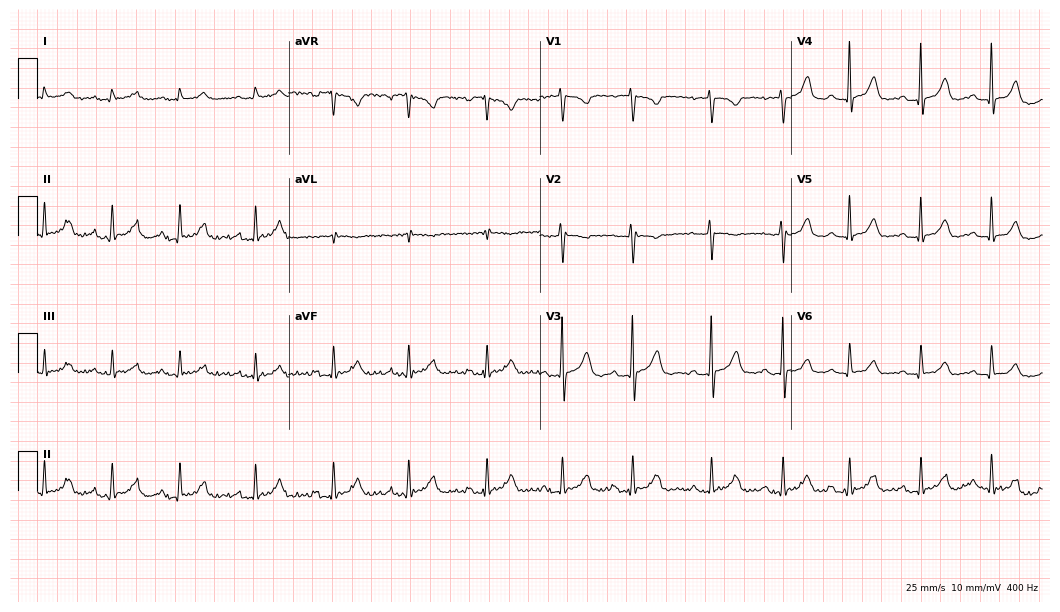
Resting 12-lead electrocardiogram (10.2-second recording at 400 Hz). Patient: a 25-year-old woman. None of these six findings is recorded: first-degree AV block, right bundle branch block, left bundle branch block, sinus bradycardia, atrial fibrillation, sinus tachycardia. Other findings, if any, are not listed.